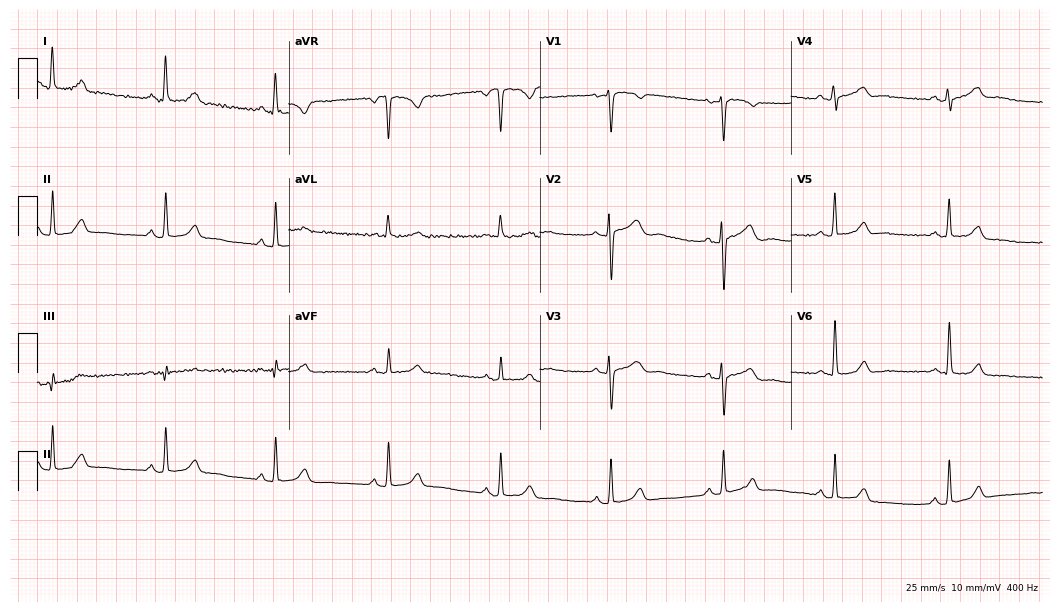
12-lead ECG (10.2-second recording at 400 Hz) from a female, 45 years old. Labelled as a normal ECG.